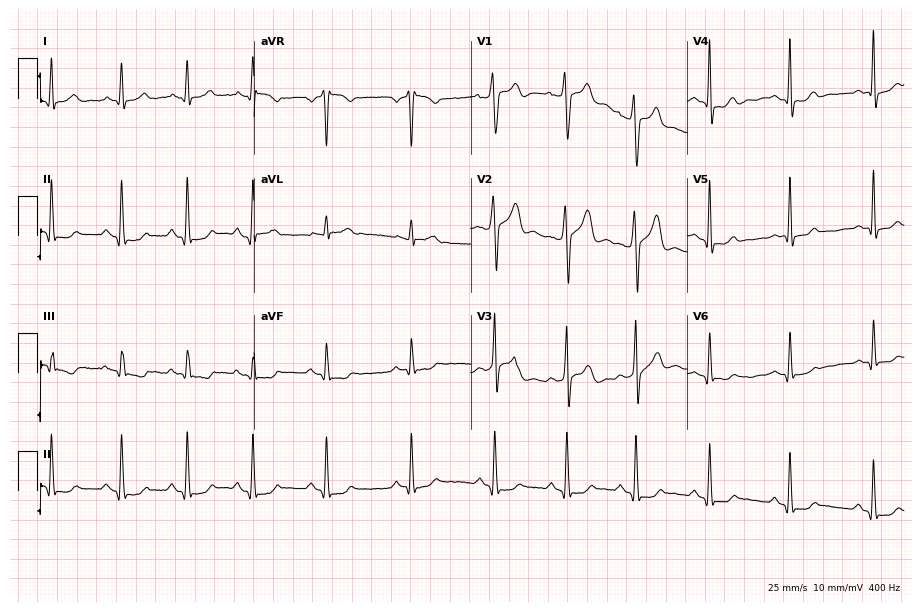
12-lead ECG from a male, 23 years old. Screened for six findings — first-degree AV block, right bundle branch block, left bundle branch block, sinus bradycardia, atrial fibrillation, sinus tachycardia — none is recorded. Findings outside these six are not listed.